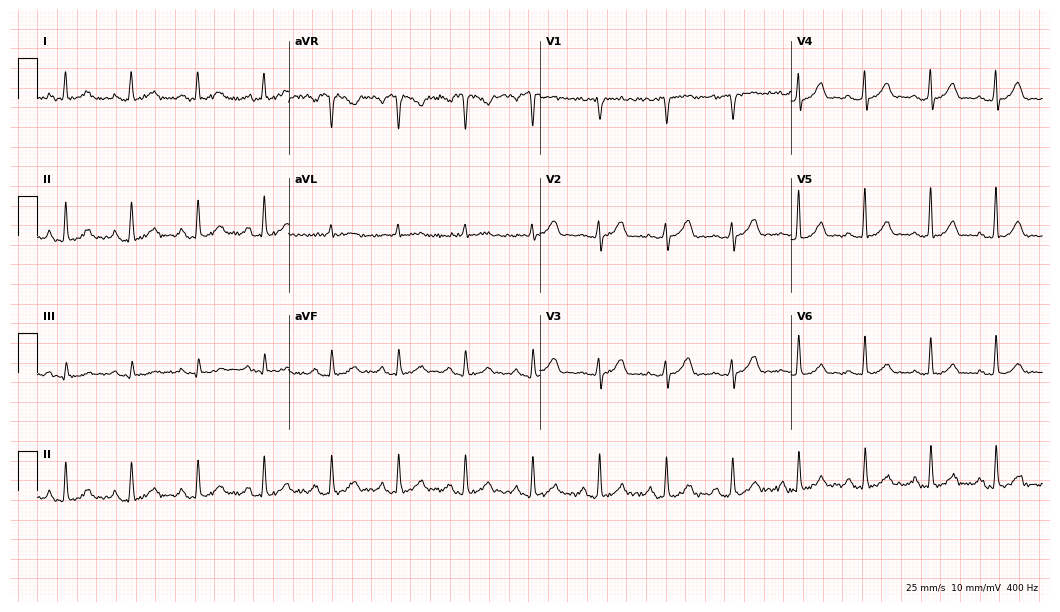
Standard 12-lead ECG recorded from a woman, 70 years old. None of these six findings is recorded: first-degree AV block, right bundle branch block, left bundle branch block, sinus bradycardia, atrial fibrillation, sinus tachycardia. Only these six findings were labelled.